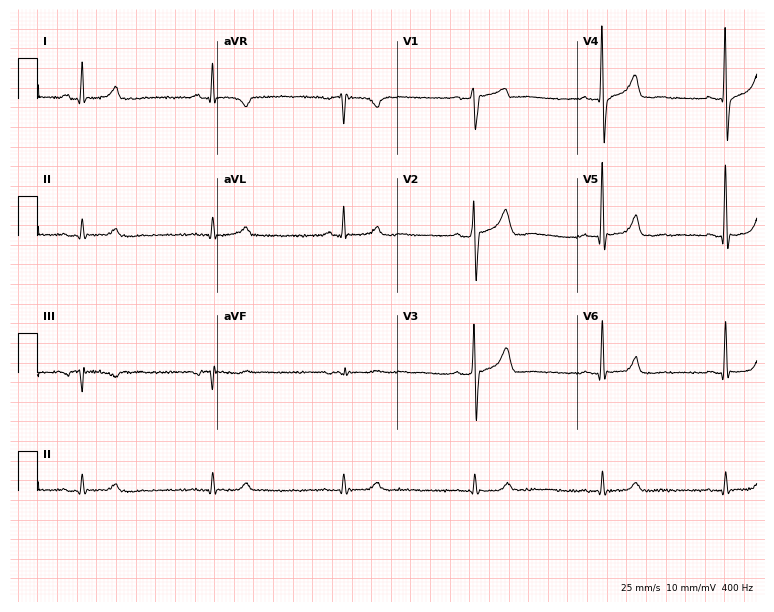
12-lead ECG from a 68-year-old male. Shows sinus bradycardia (a sinus rate of 50 beats per minute or less).